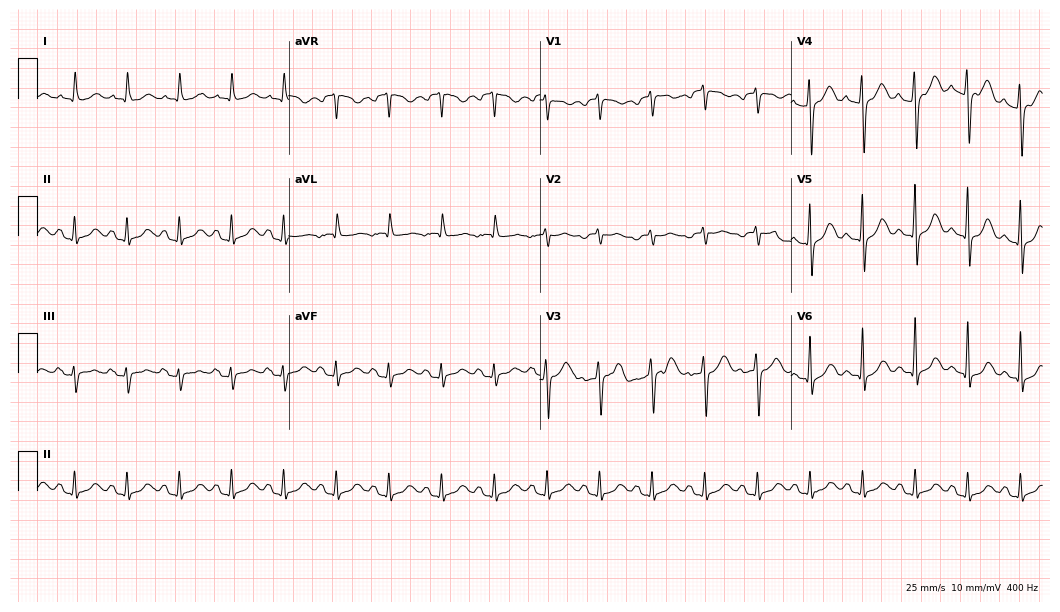
Resting 12-lead electrocardiogram. Patient: a 73-year-old female. The tracing shows sinus tachycardia (a sinus rate of 100 beats per minute or more).